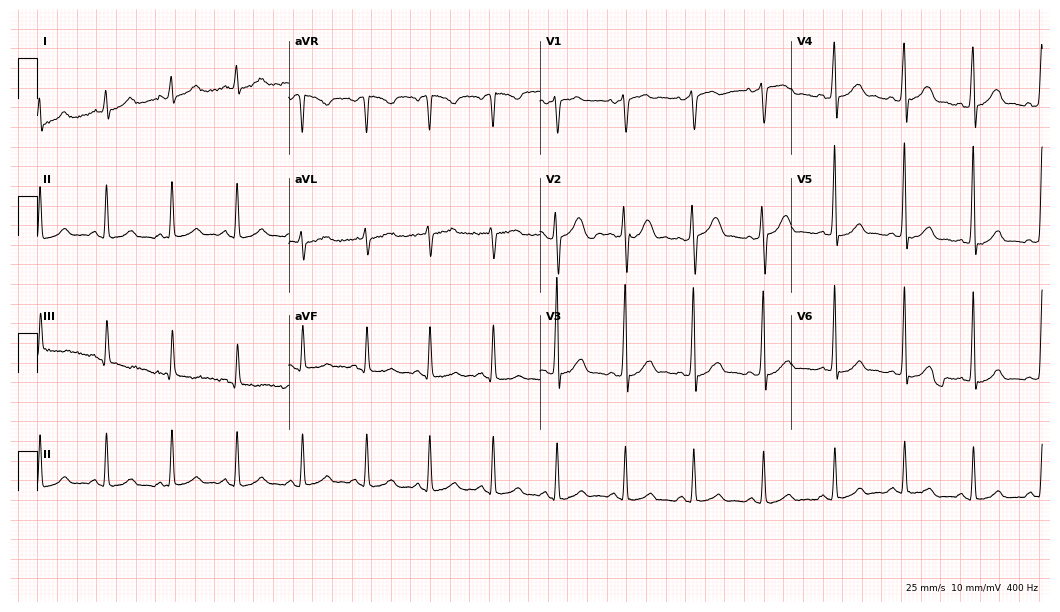
12-lead ECG from a 32-year-old woman (10.2-second recording at 400 Hz). Recorded interpretation: within normal limits.